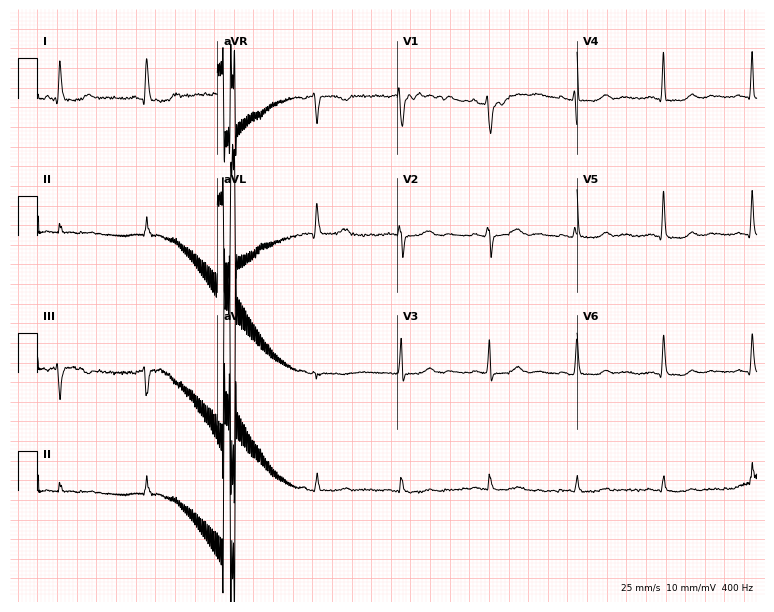
12-lead ECG from a woman, 44 years old. Recorded interpretation: within normal limits.